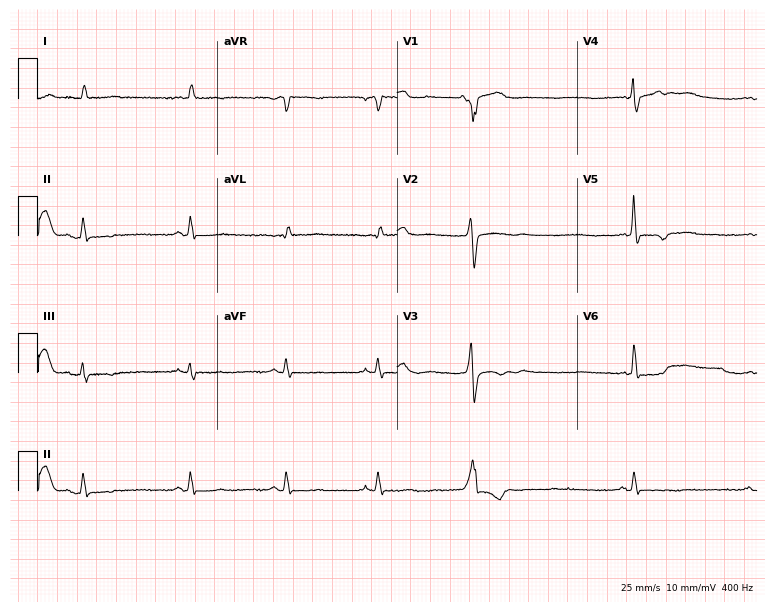
ECG (7.3-second recording at 400 Hz) — a 79-year-old female. Screened for six findings — first-degree AV block, right bundle branch block, left bundle branch block, sinus bradycardia, atrial fibrillation, sinus tachycardia — none is recorded. Other findings, if any, are not listed.